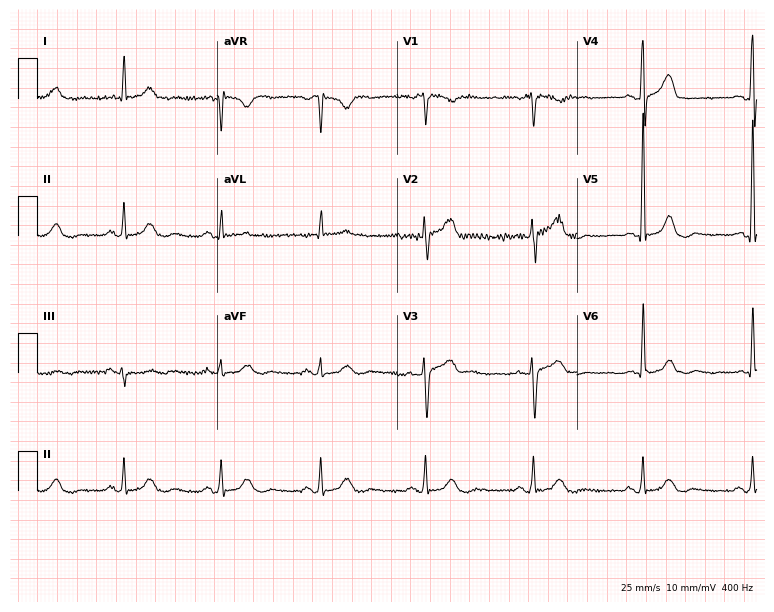
ECG — a man, 60 years old. Labelled as a normal ECG.